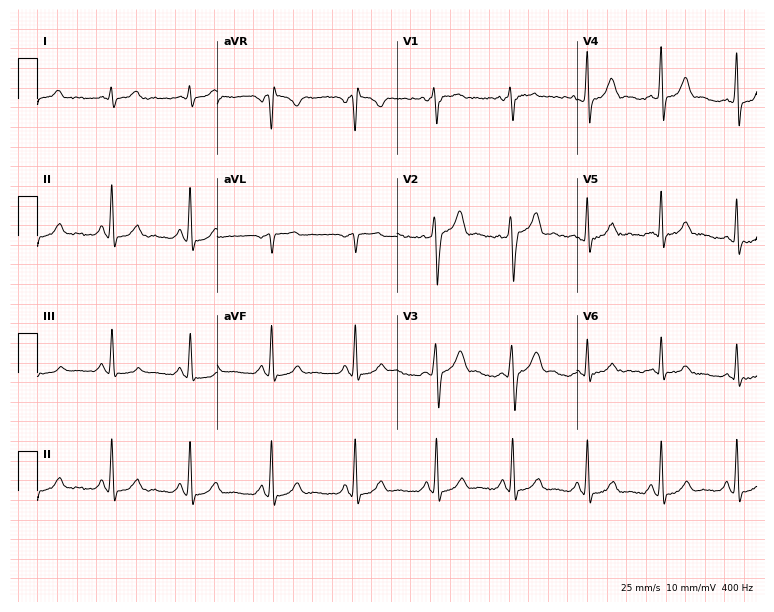
Electrocardiogram (7.3-second recording at 400 Hz), a 24-year-old female. Of the six screened findings (first-degree AV block, right bundle branch block, left bundle branch block, sinus bradycardia, atrial fibrillation, sinus tachycardia), none is recorded. Other findings, if any, are not listed.